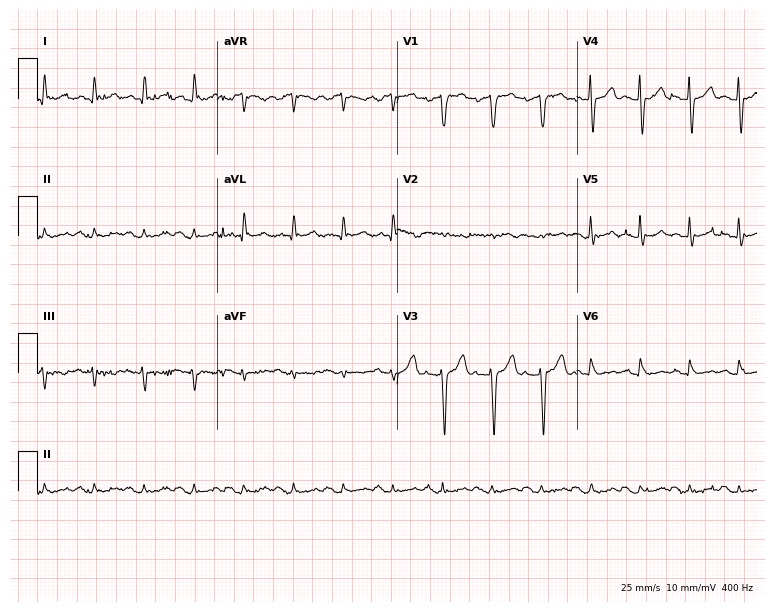
ECG (7.3-second recording at 400 Hz) — a male patient, 61 years old. Findings include sinus tachycardia (a sinus rate of 100 beats per minute or more).